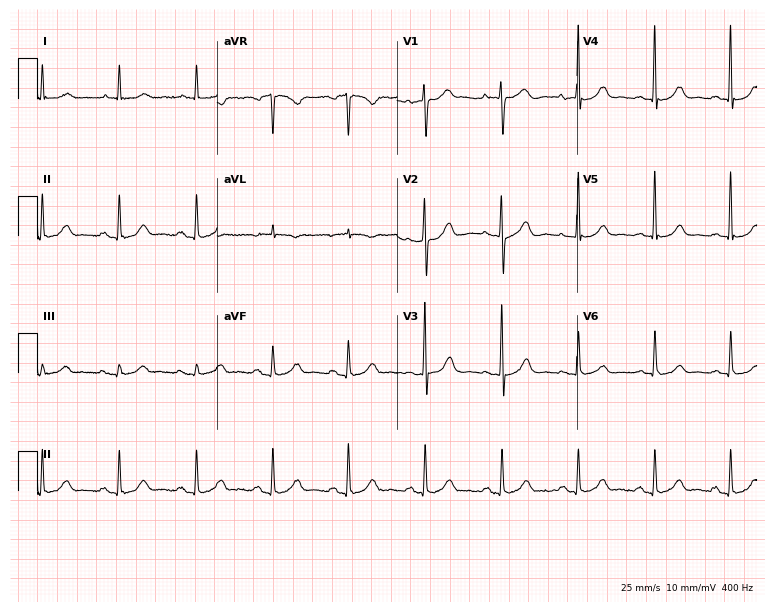
Electrocardiogram, a female, 73 years old. Overall reading on record: normal ECG.